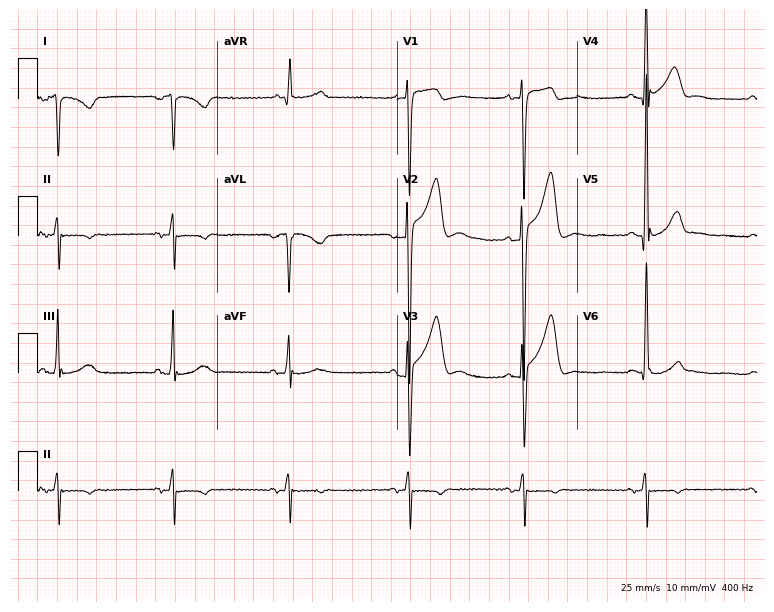
Resting 12-lead electrocardiogram. Patient: a 66-year-old man. None of these six findings is recorded: first-degree AV block, right bundle branch block, left bundle branch block, sinus bradycardia, atrial fibrillation, sinus tachycardia. Other findings, if any, are not listed.